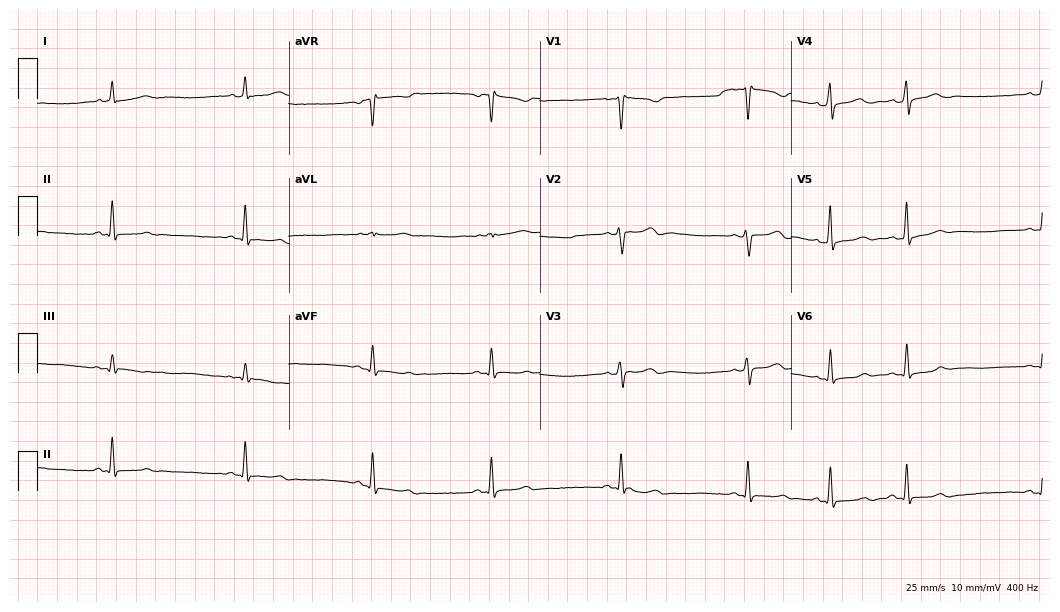
Resting 12-lead electrocardiogram (10.2-second recording at 400 Hz). Patient: a 22-year-old female. None of these six findings is recorded: first-degree AV block, right bundle branch block, left bundle branch block, sinus bradycardia, atrial fibrillation, sinus tachycardia. Findings outside these six are not listed.